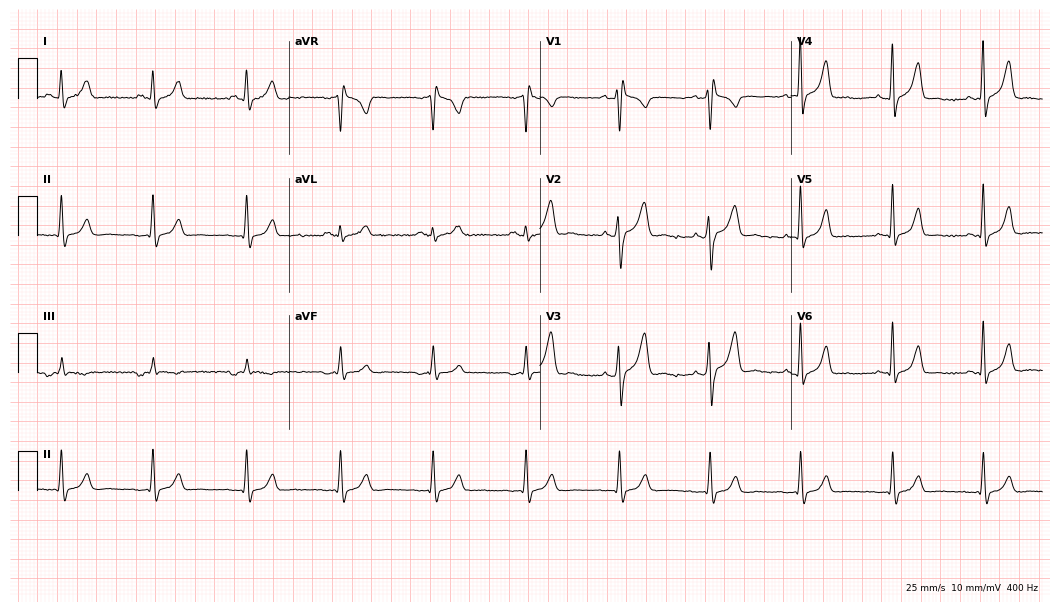
Electrocardiogram (10.2-second recording at 400 Hz), a 31-year-old woman. Interpretation includes right bundle branch block (RBBB).